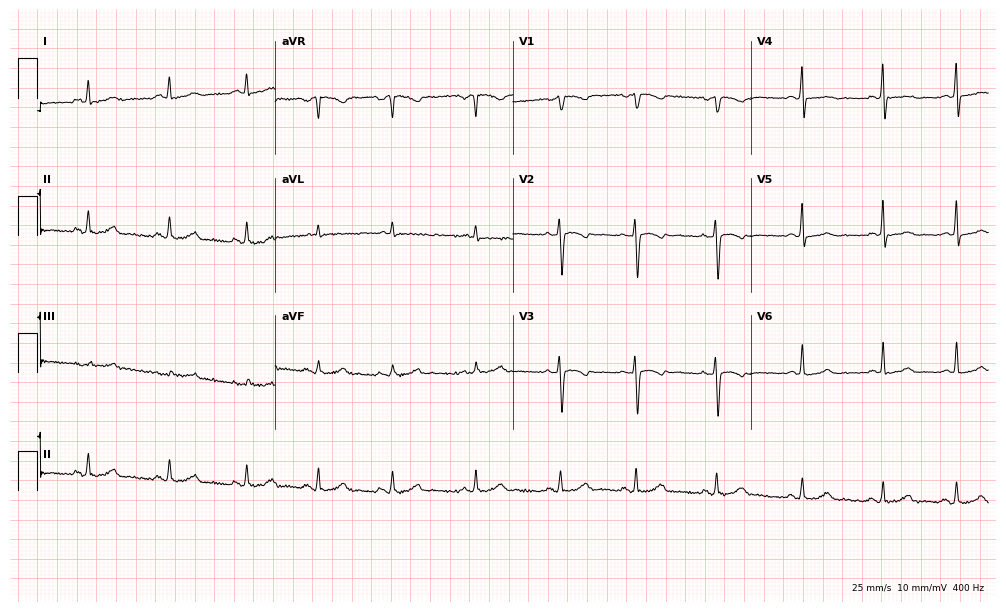
12-lead ECG from a 41-year-old female. No first-degree AV block, right bundle branch block, left bundle branch block, sinus bradycardia, atrial fibrillation or sinus tachycardia recorded for this tracing. Only these six findings were labelled.